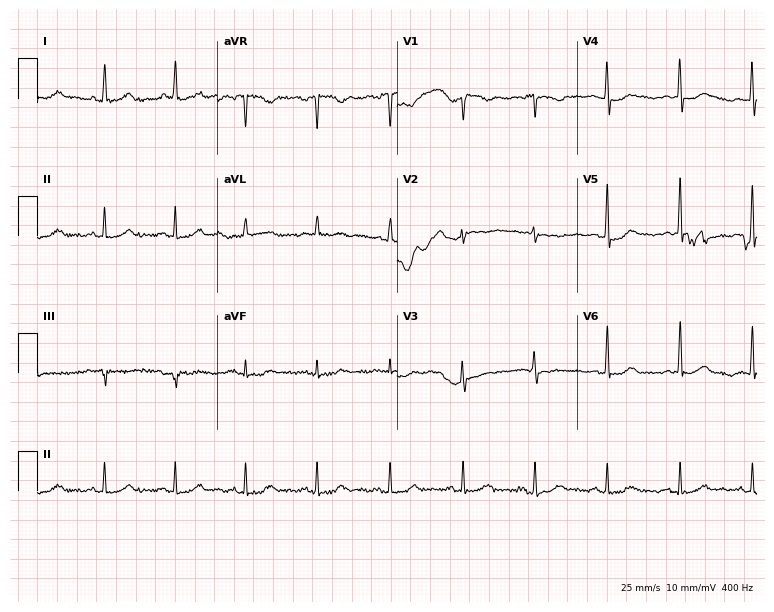
ECG (7.3-second recording at 400 Hz) — a woman, 63 years old. Screened for six findings — first-degree AV block, right bundle branch block, left bundle branch block, sinus bradycardia, atrial fibrillation, sinus tachycardia — none is recorded.